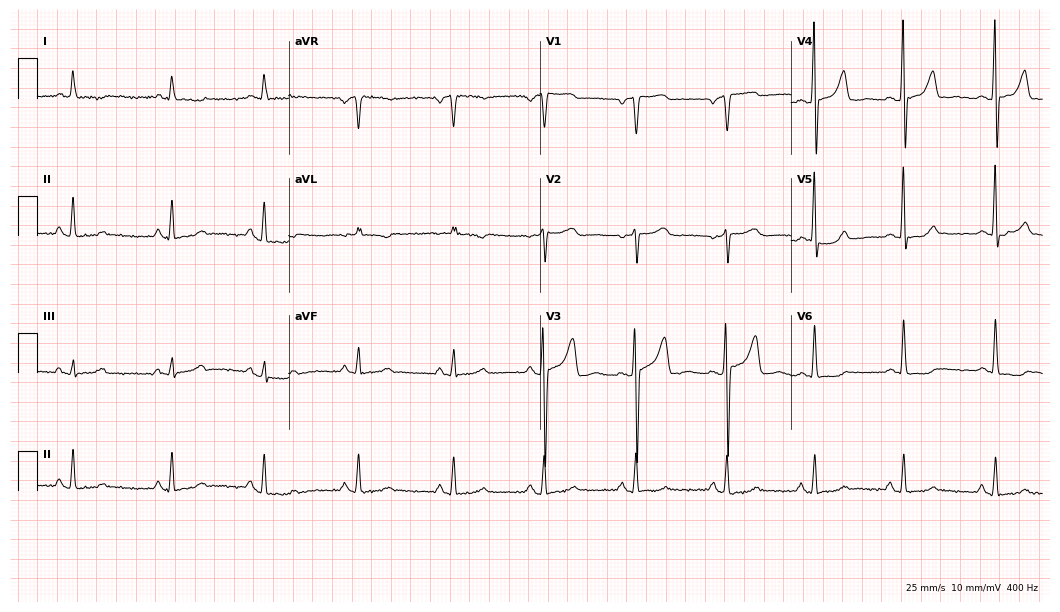
12-lead ECG from a 56-year-old woman. Screened for six findings — first-degree AV block, right bundle branch block, left bundle branch block, sinus bradycardia, atrial fibrillation, sinus tachycardia — none is recorded. Only these six findings were labelled.